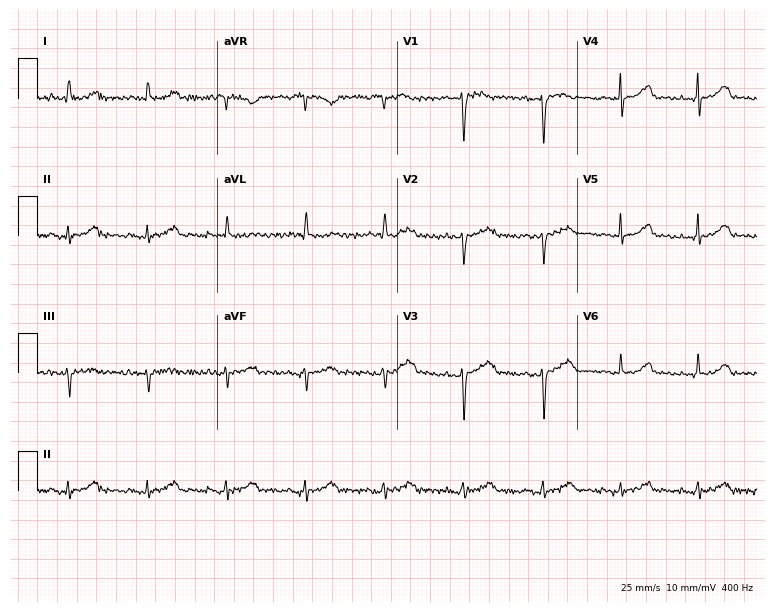
Electrocardiogram (7.3-second recording at 400 Hz), a 75-year-old woman. Of the six screened findings (first-degree AV block, right bundle branch block, left bundle branch block, sinus bradycardia, atrial fibrillation, sinus tachycardia), none is recorded.